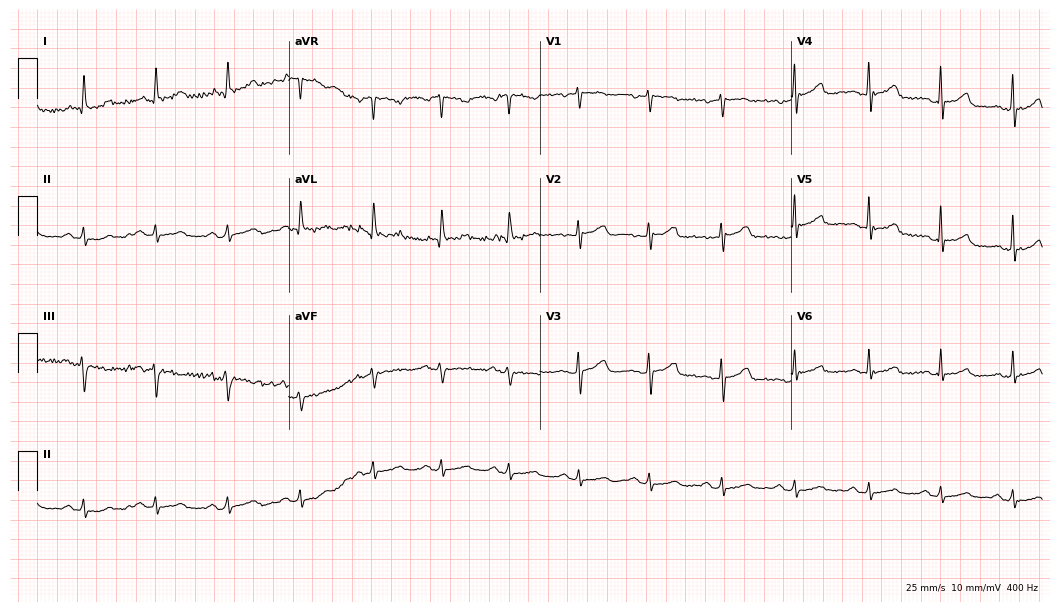
12-lead ECG (10.2-second recording at 400 Hz) from a 53-year-old female patient. Labelled as a normal ECG.